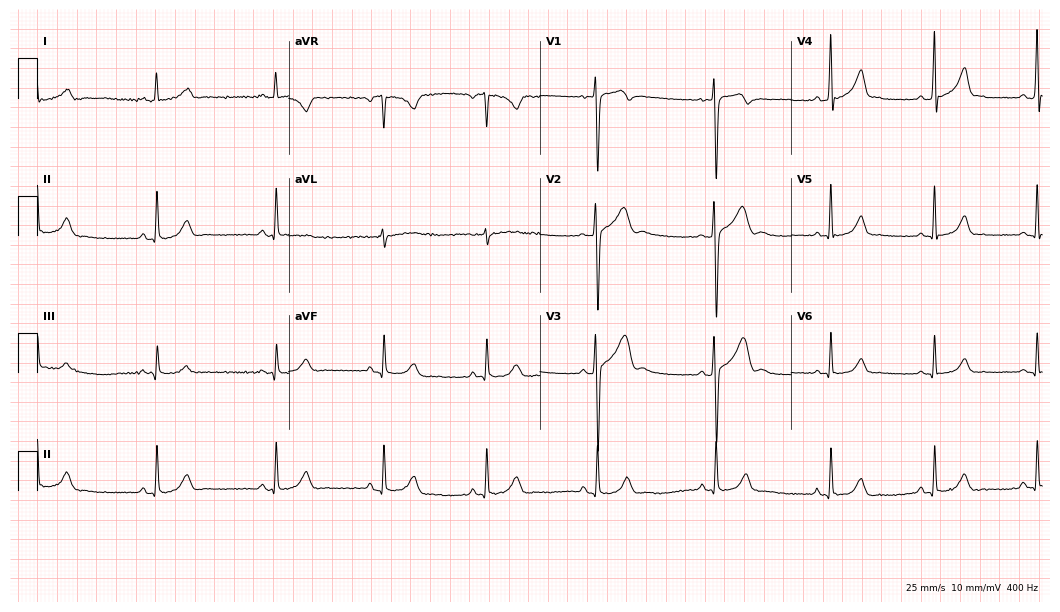
Resting 12-lead electrocardiogram. Patient: a man, 19 years old. Read as a normal ECG.